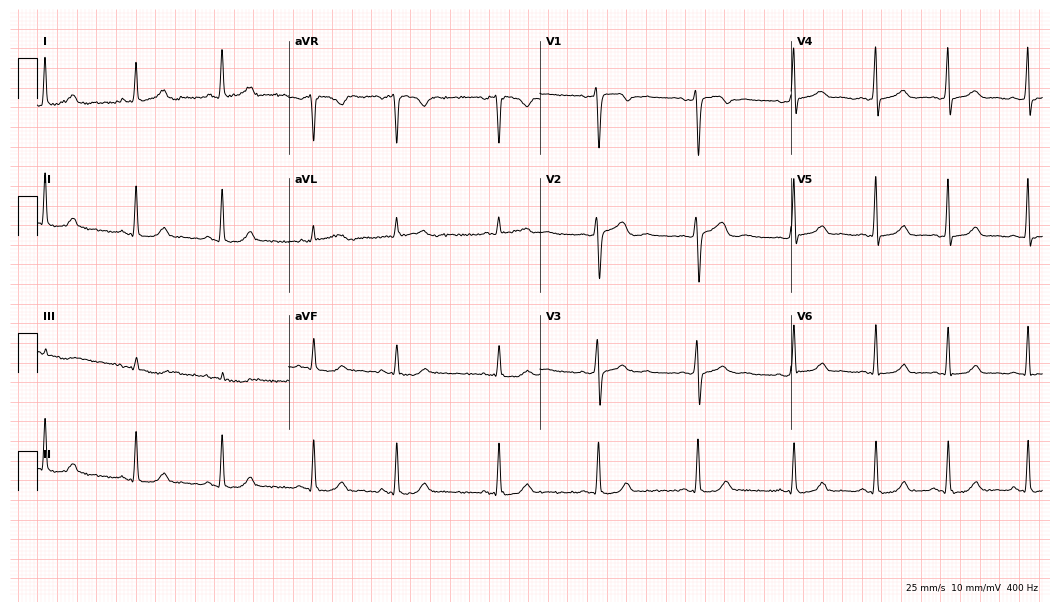
12-lead ECG from a 33-year-old woman. Recorded interpretation: within normal limits.